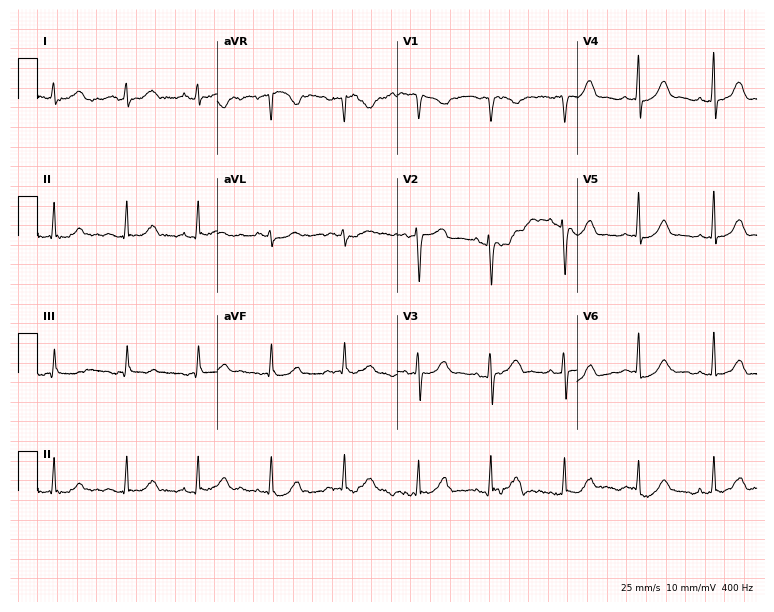
Resting 12-lead electrocardiogram. Patient: a 45-year-old female. Read as a normal ECG.